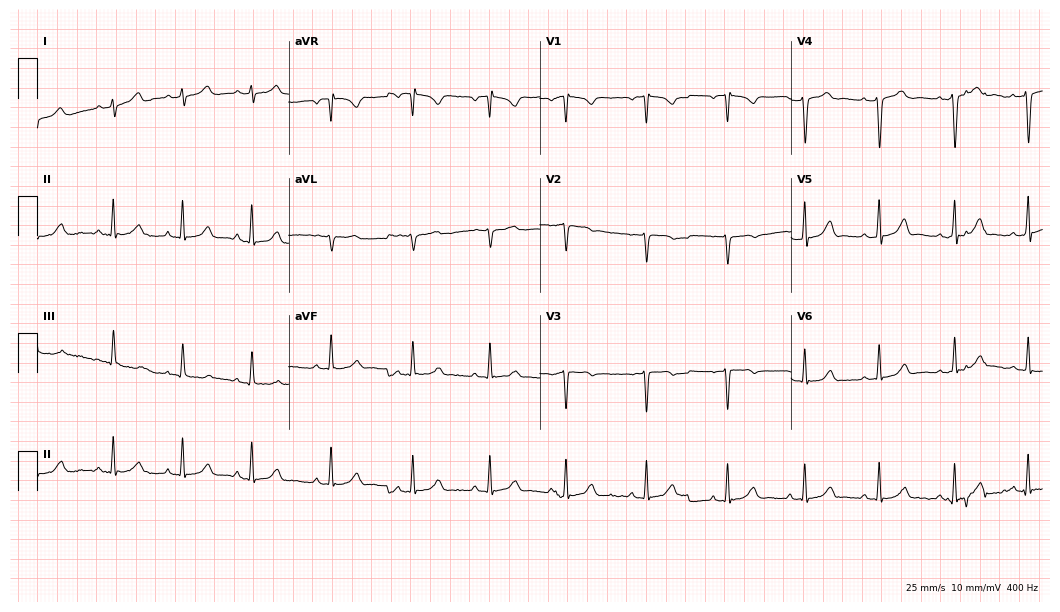
12-lead ECG from a female patient, 19 years old. Screened for six findings — first-degree AV block, right bundle branch block (RBBB), left bundle branch block (LBBB), sinus bradycardia, atrial fibrillation (AF), sinus tachycardia — none is recorded. Findings outside these six are not listed.